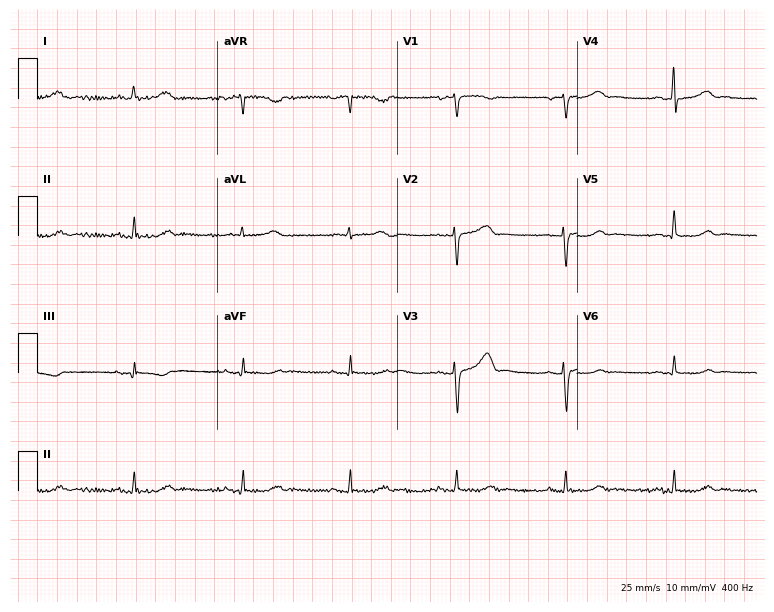
ECG — a 57-year-old female. Screened for six findings — first-degree AV block, right bundle branch block (RBBB), left bundle branch block (LBBB), sinus bradycardia, atrial fibrillation (AF), sinus tachycardia — none is recorded. Other findings, if any, are not listed.